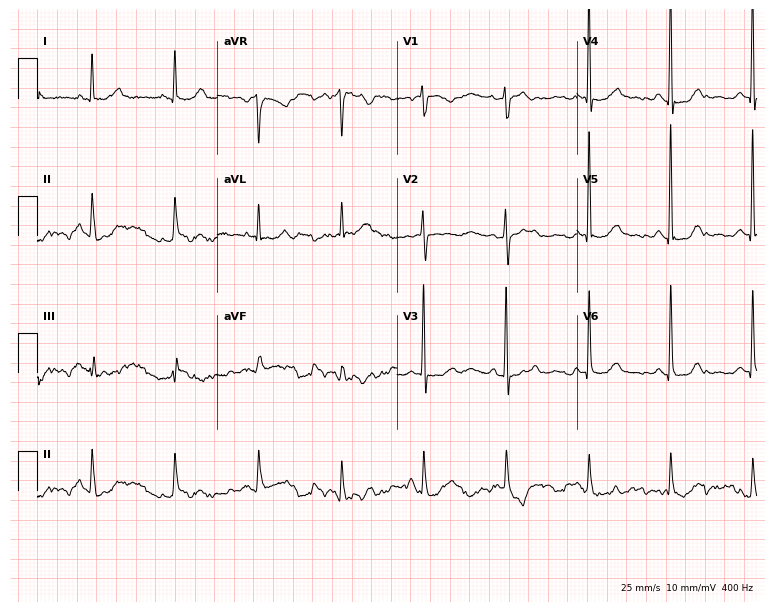
12-lead ECG from a man, 70 years old. No first-degree AV block, right bundle branch block (RBBB), left bundle branch block (LBBB), sinus bradycardia, atrial fibrillation (AF) or sinus tachycardia recorded for this tracing.